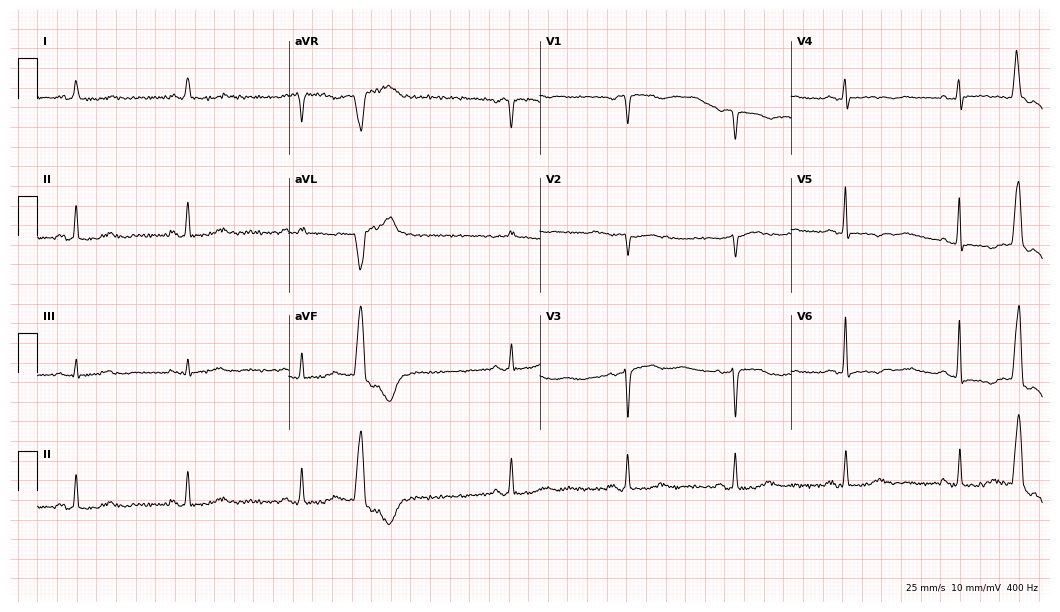
12-lead ECG from a female, 70 years old. Screened for six findings — first-degree AV block, right bundle branch block, left bundle branch block, sinus bradycardia, atrial fibrillation, sinus tachycardia — none is recorded. Other findings, if any, are not listed.